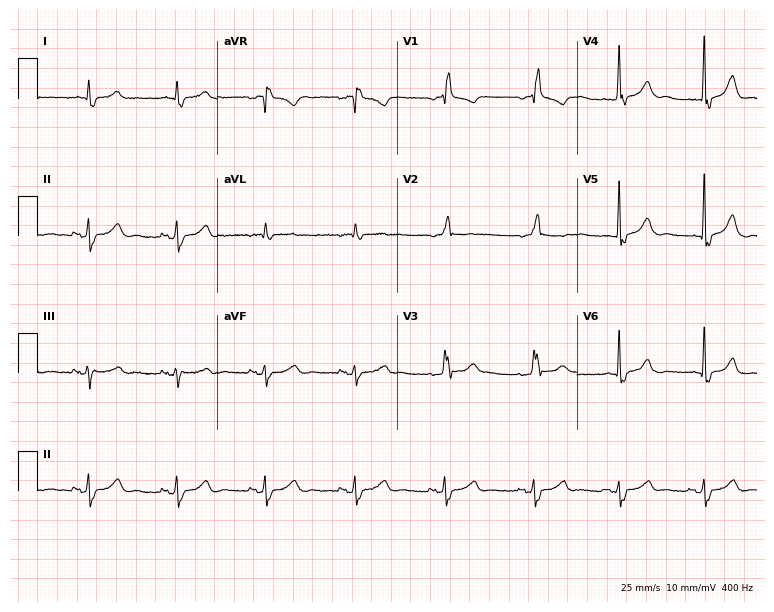
12-lead ECG from a man, 81 years old. Shows right bundle branch block.